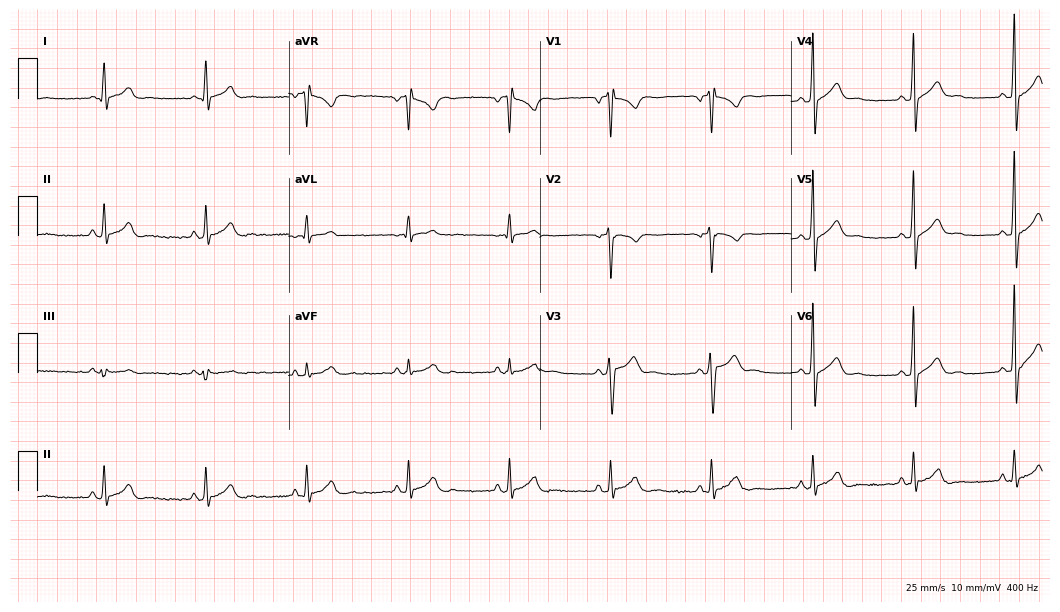
Standard 12-lead ECG recorded from a man, 21 years old. Read as a normal ECG.